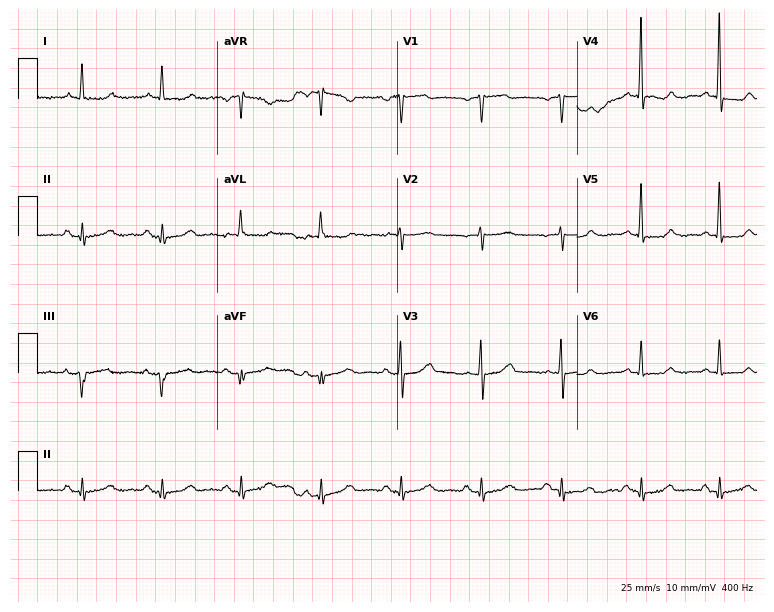
ECG — a 69-year-old female patient. Screened for six findings — first-degree AV block, right bundle branch block, left bundle branch block, sinus bradycardia, atrial fibrillation, sinus tachycardia — none is recorded.